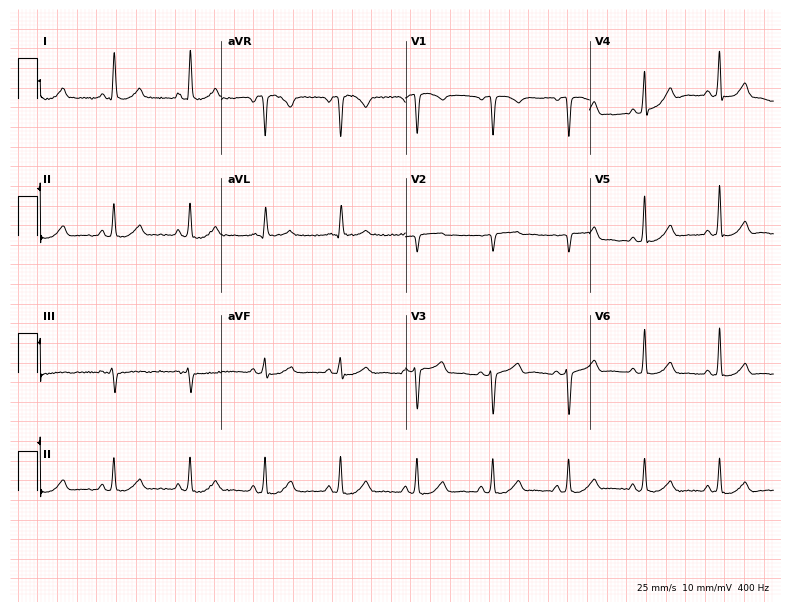
12-lead ECG from a female, 61 years old. Screened for six findings — first-degree AV block, right bundle branch block, left bundle branch block, sinus bradycardia, atrial fibrillation, sinus tachycardia — none is recorded. Only these six findings were labelled.